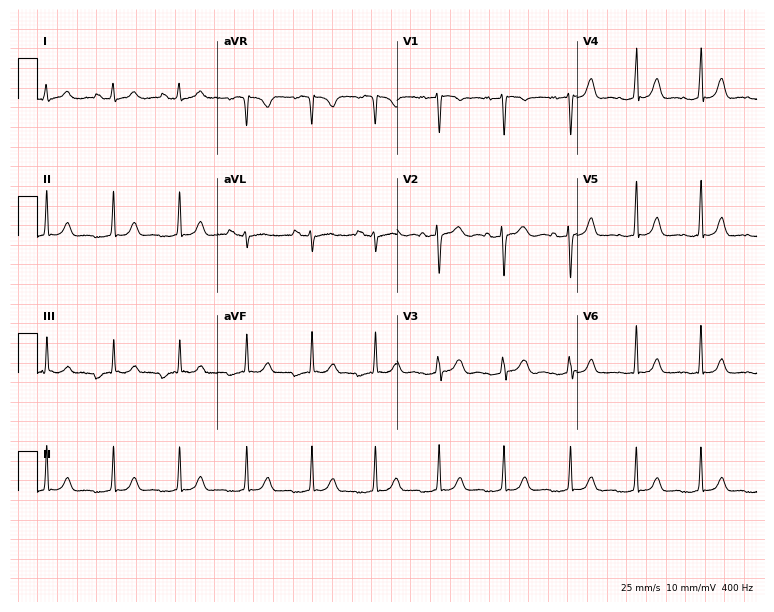
12-lead ECG from a female patient, 24 years old (7.3-second recording at 400 Hz). Recorded interpretation: within normal limits.